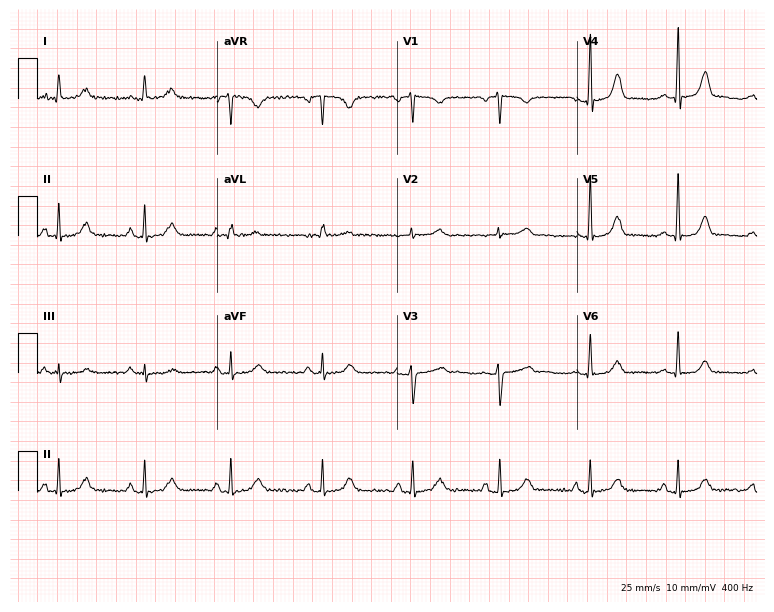
ECG — a female, 53 years old. Labelled as a normal ECG.